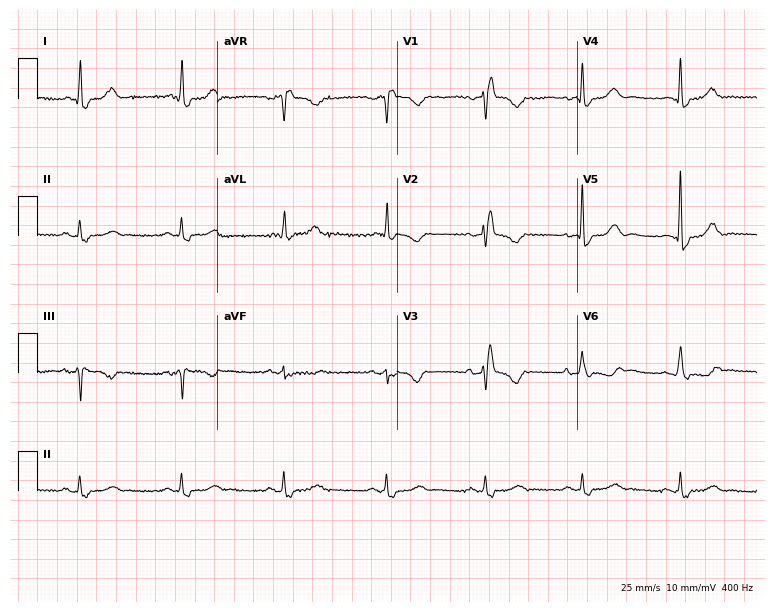
ECG — a 75-year-old female. Findings include right bundle branch block.